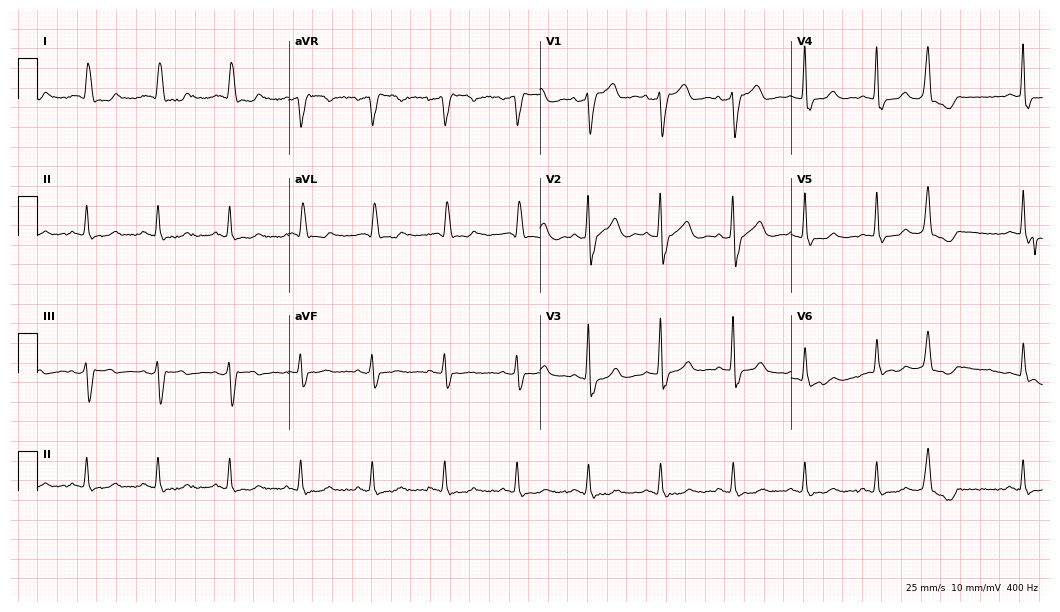
12-lead ECG from a woman, 81 years old (10.2-second recording at 400 Hz). No first-degree AV block, right bundle branch block (RBBB), left bundle branch block (LBBB), sinus bradycardia, atrial fibrillation (AF) or sinus tachycardia recorded for this tracing. Findings outside these six are not listed.